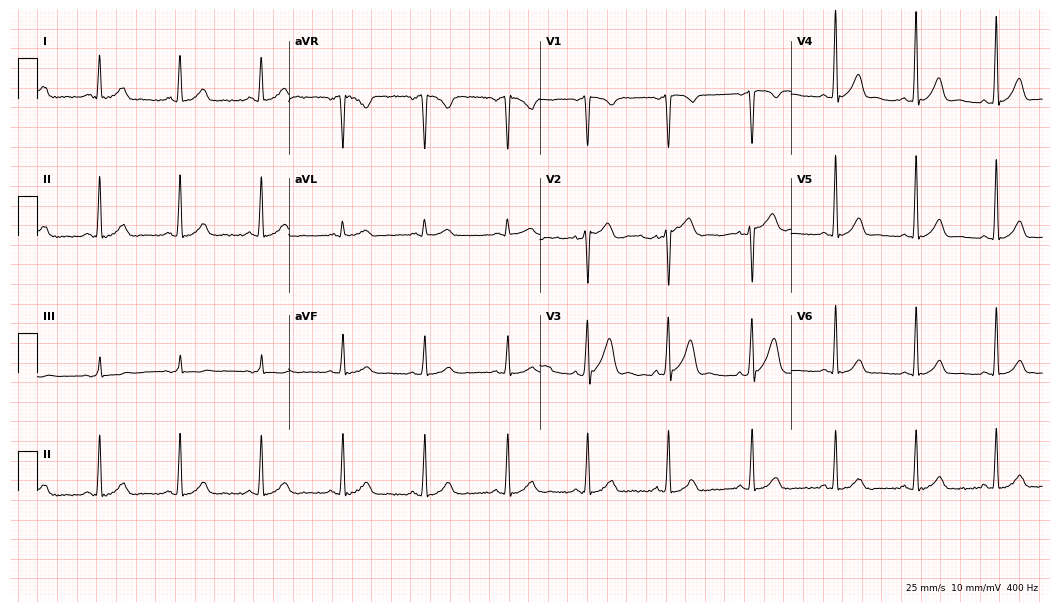
Electrocardiogram (10.2-second recording at 400 Hz), a male, 41 years old. Overall reading on record: normal ECG.